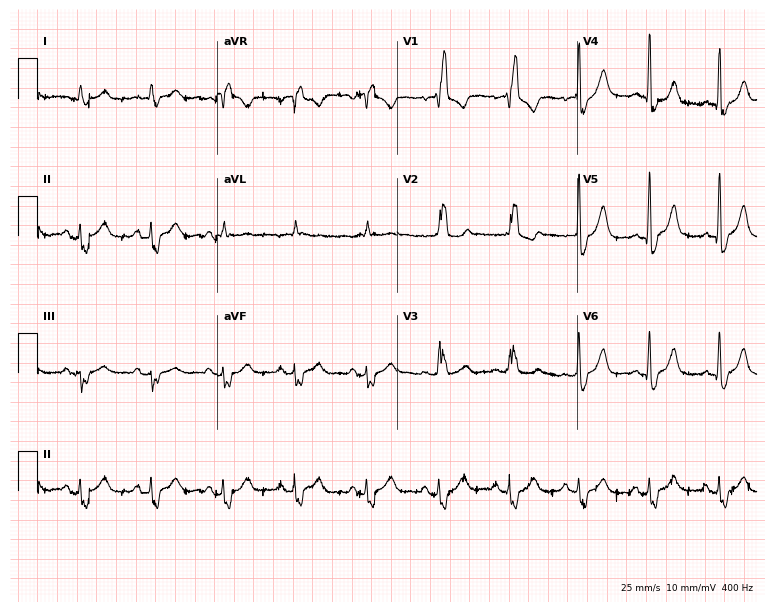
12-lead ECG from a woman, 68 years old. Shows right bundle branch block (RBBB).